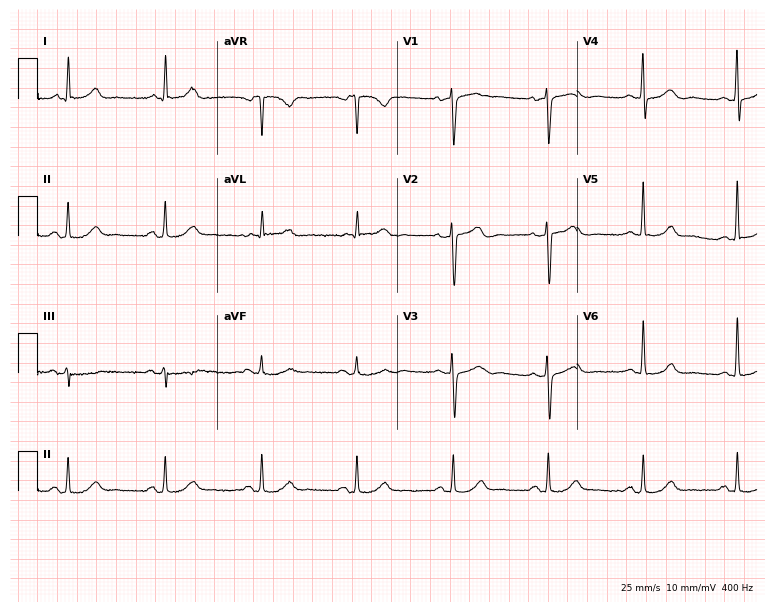
12-lead ECG (7.3-second recording at 400 Hz) from an 84-year-old female patient. Labelled as a normal ECG.